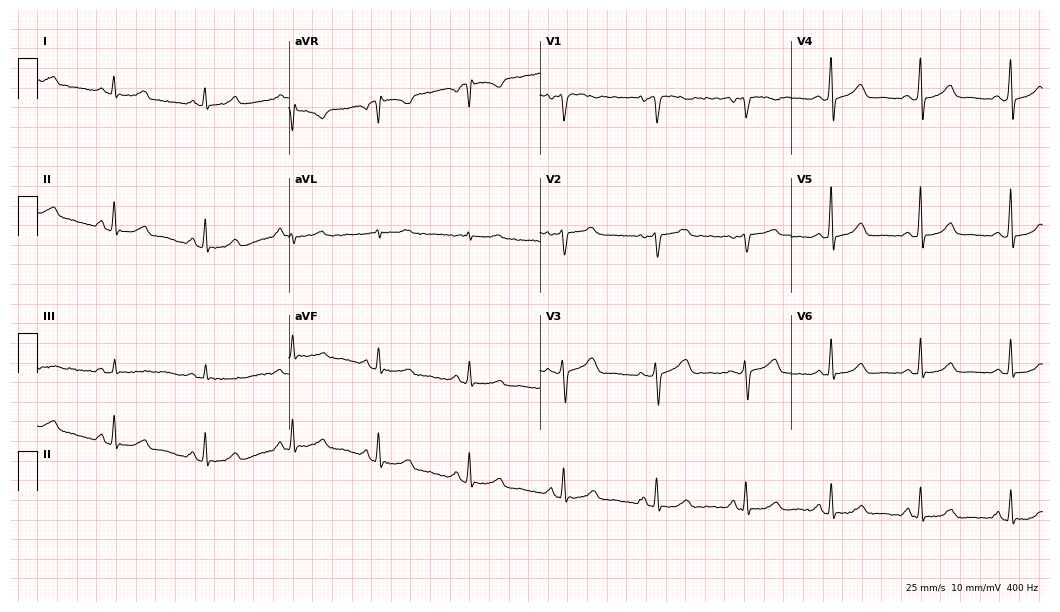
Electrocardiogram, a 42-year-old woman. Of the six screened findings (first-degree AV block, right bundle branch block, left bundle branch block, sinus bradycardia, atrial fibrillation, sinus tachycardia), none is recorded. Only these six findings were labelled.